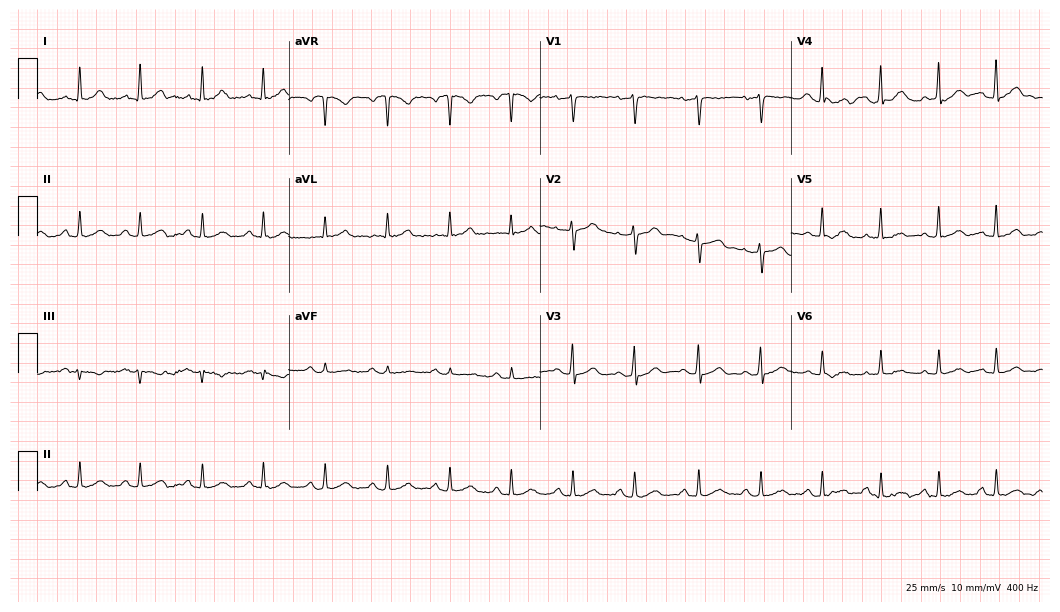
Standard 12-lead ECG recorded from a 49-year-old woman. Read as a normal ECG.